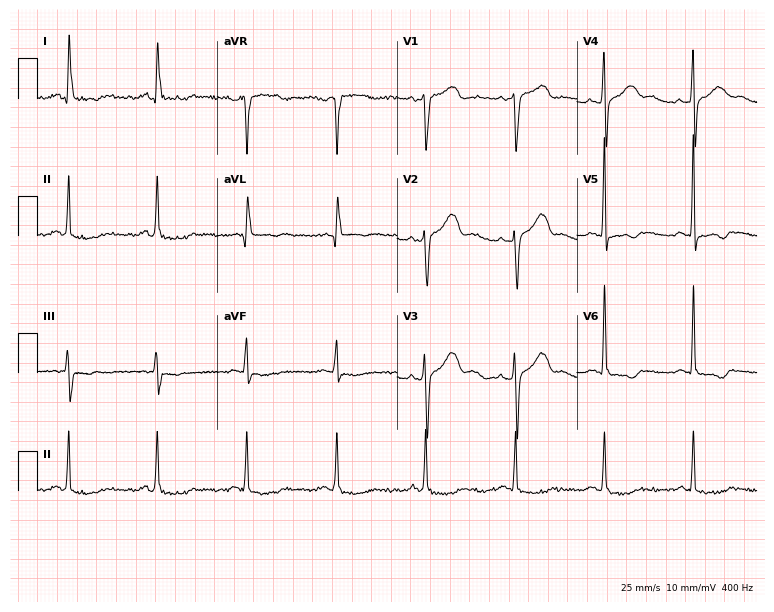
Standard 12-lead ECG recorded from a 66-year-old female patient. None of these six findings is recorded: first-degree AV block, right bundle branch block, left bundle branch block, sinus bradycardia, atrial fibrillation, sinus tachycardia. Only these six findings were labelled.